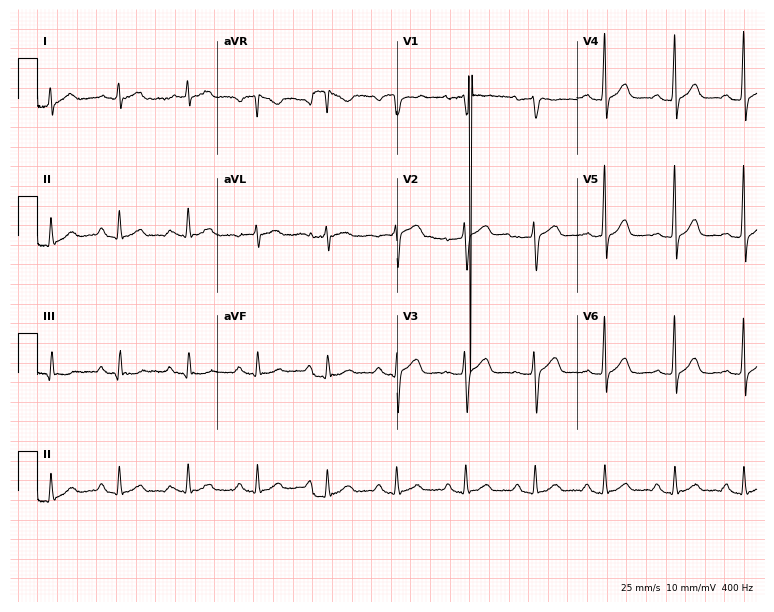
Resting 12-lead electrocardiogram. Patient: a male, 60 years old. Read as a normal ECG.